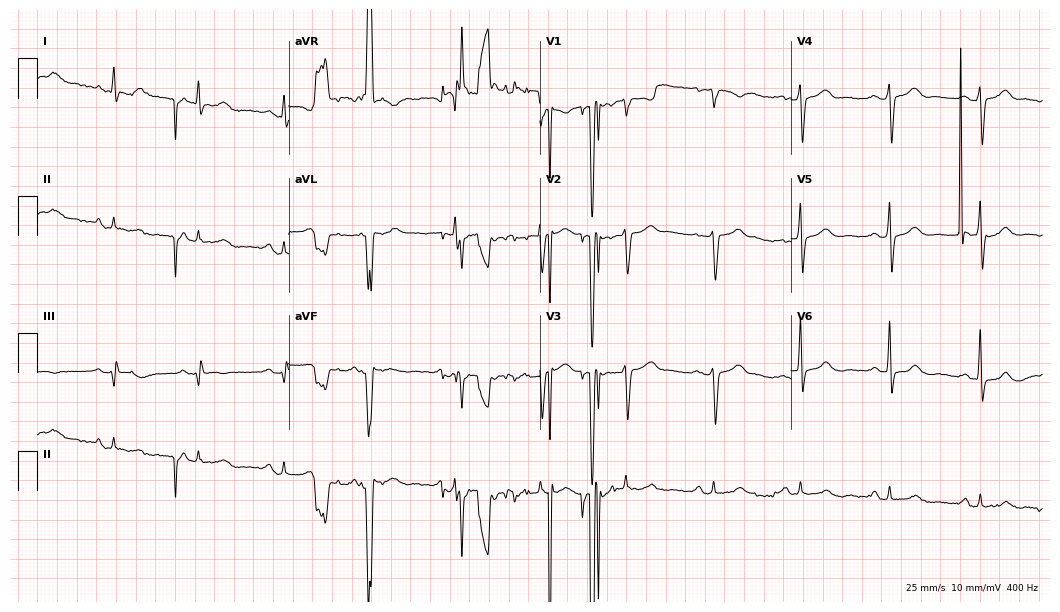
ECG — a male, 43 years old. Screened for six findings — first-degree AV block, right bundle branch block, left bundle branch block, sinus bradycardia, atrial fibrillation, sinus tachycardia — none is recorded. Findings outside these six are not listed.